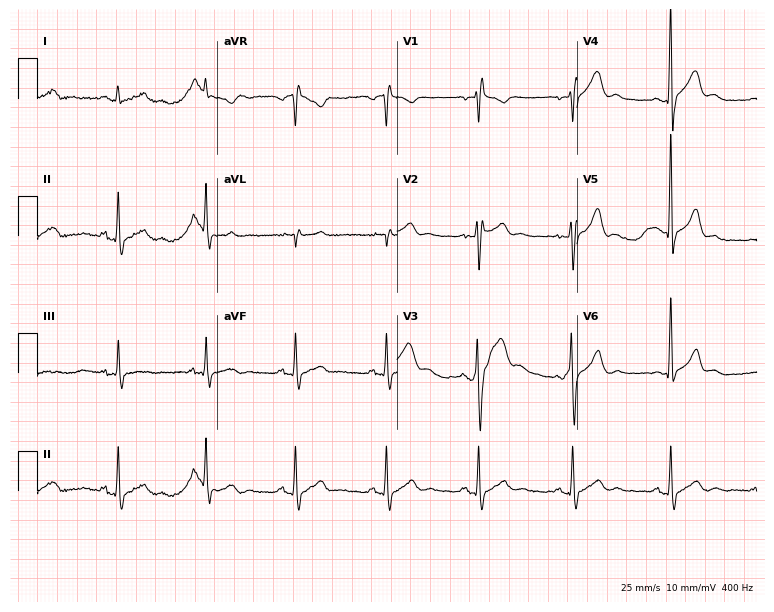
Resting 12-lead electrocardiogram. Patient: a male, 18 years old. None of these six findings is recorded: first-degree AV block, right bundle branch block, left bundle branch block, sinus bradycardia, atrial fibrillation, sinus tachycardia.